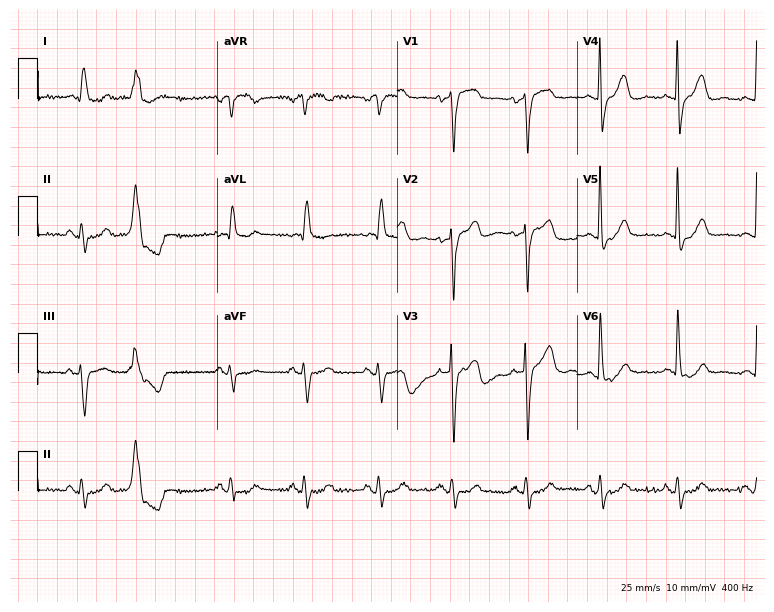
Electrocardiogram, a female, 83 years old. Of the six screened findings (first-degree AV block, right bundle branch block (RBBB), left bundle branch block (LBBB), sinus bradycardia, atrial fibrillation (AF), sinus tachycardia), none is recorded. Findings outside these six are not listed.